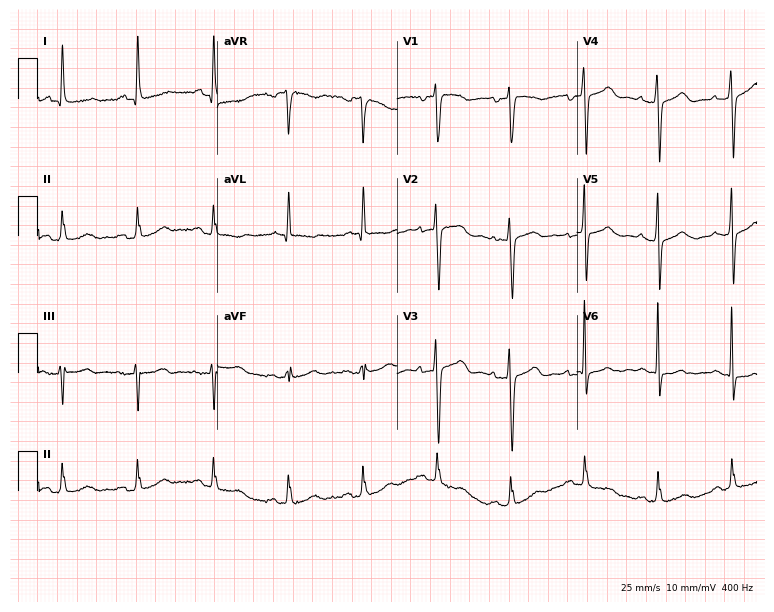
Electrocardiogram (7.3-second recording at 400 Hz), a 66-year-old female patient. Of the six screened findings (first-degree AV block, right bundle branch block, left bundle branch block, sinus bradycardia, atrial fibrillation, sinus tachycardia), none is recorded.